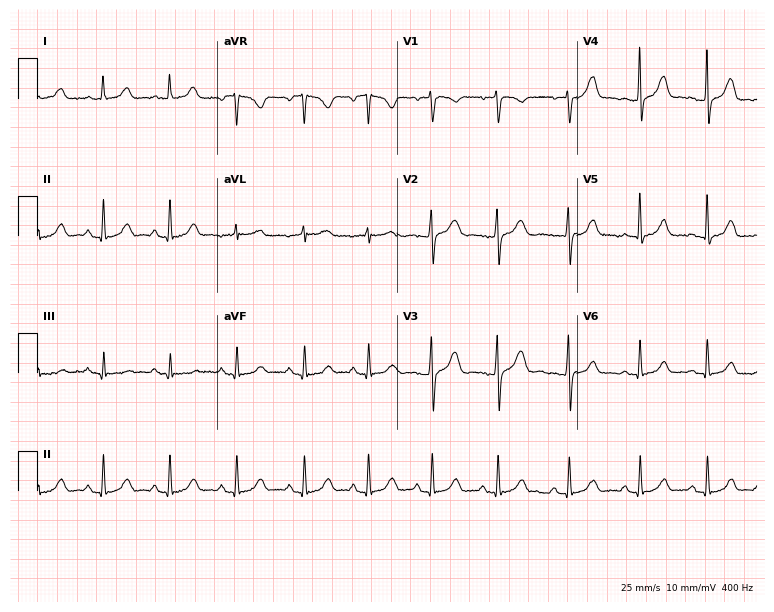
12-lead ECG from a 26-year-old woman. Recorded interpretation: within normal limits.